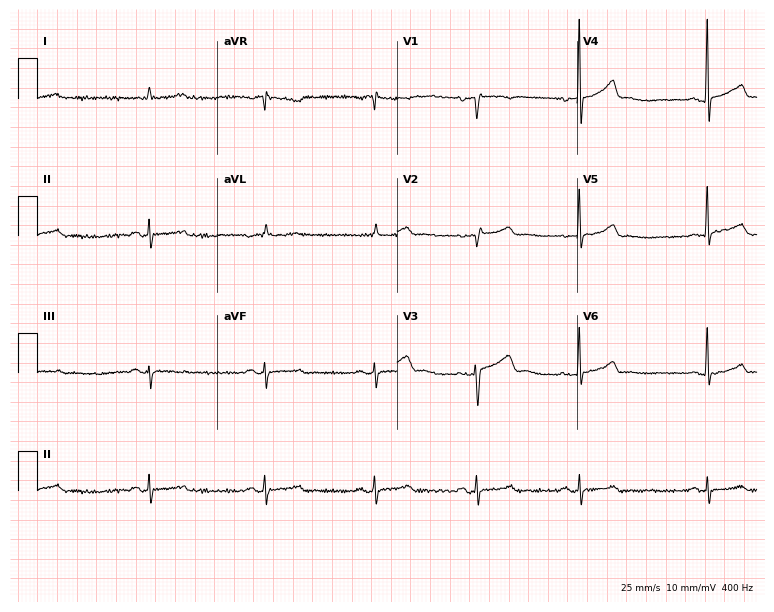
ECG — a 56-year-old female patient. Screened for six findings — first-degree AV block, right bundle branch block, left bundle branch block, sinus bradycardia, atrial fibrillation, sinus tachycardia — none is recorded.